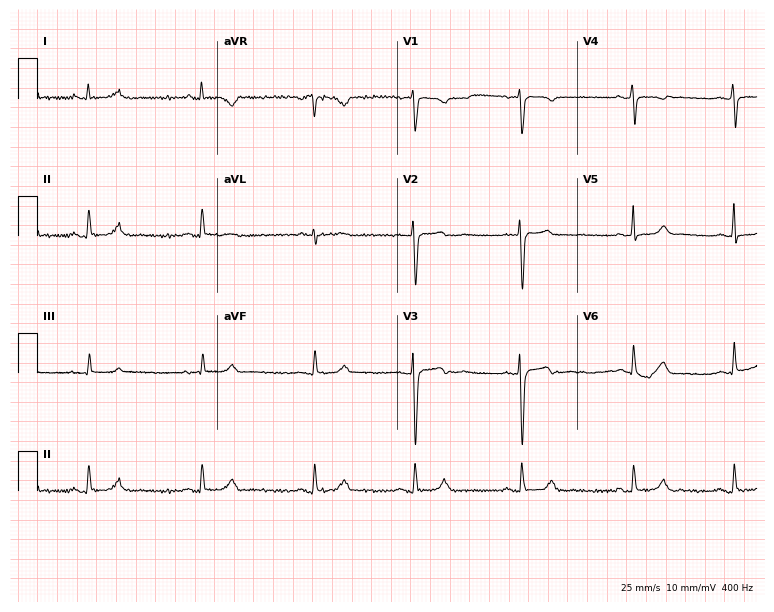
12-lead ECG from a female patient, 31 years old. Recorded interpretation: within normal limits.